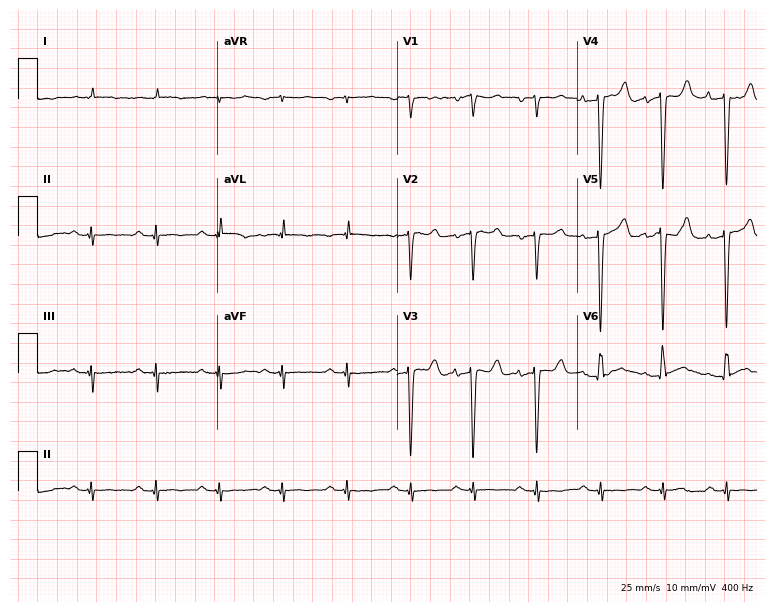
Electrocardiogram, an 81-year-old man. Of the six screened findings (first-degree AV block, right bundle branch block, left bundle branch block, sinus bradycardia, atrial fibrillation, sinus tachycardia), none is recorded.